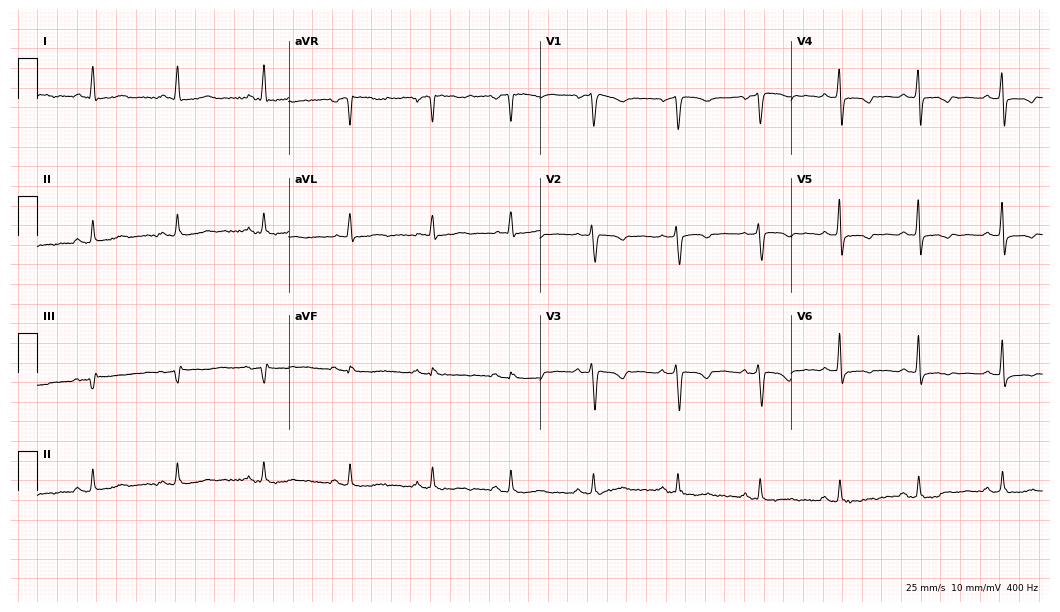
Resting 12-lead electrocardiogram (10.2-second recording at 400 Hz). Patient: a female, 46 years old. None of these six findings is recorded: first-degree AV block, right bundle branch block, left bundle branch block, sinus bradycardia, atrial fibrillation, sinus tachycardia.